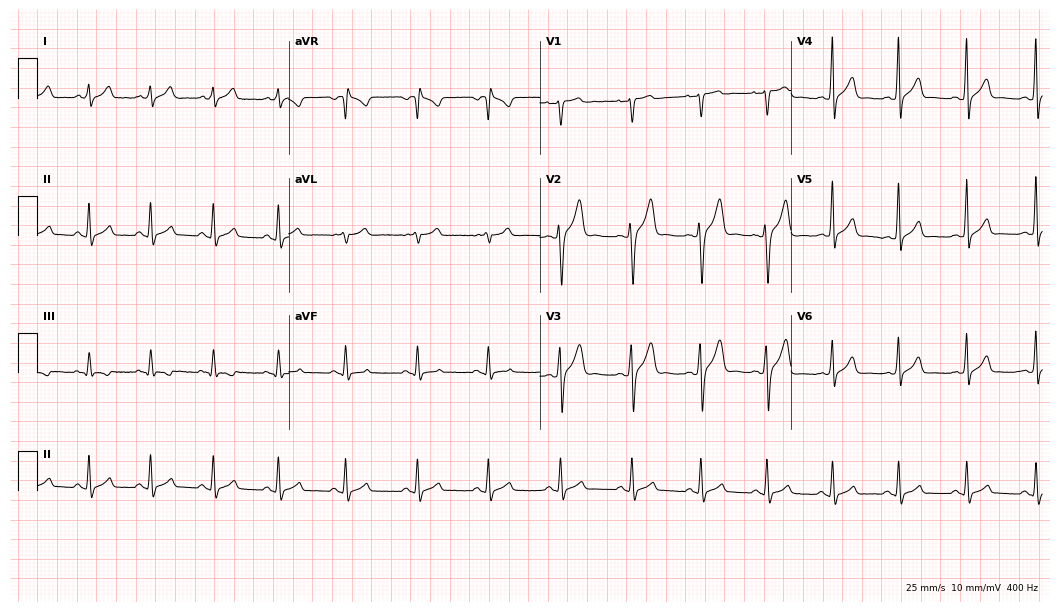
12-lead ECG from a male, 22 years old. Recorded interpretation: within normal limits.